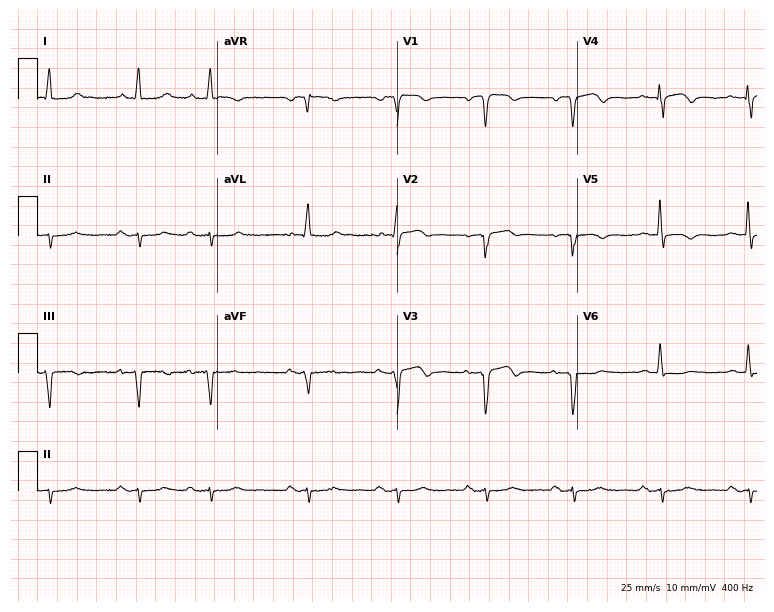
Electrocardiogram, a 76-year-old woman. Of the six screened findings (first-degree AV block, right bundle branch block (RBBB), left bundle branch block (LBBB), sinus bradycardia, atrial fibrillation (AF), sinus tachycardia), none is recorded.